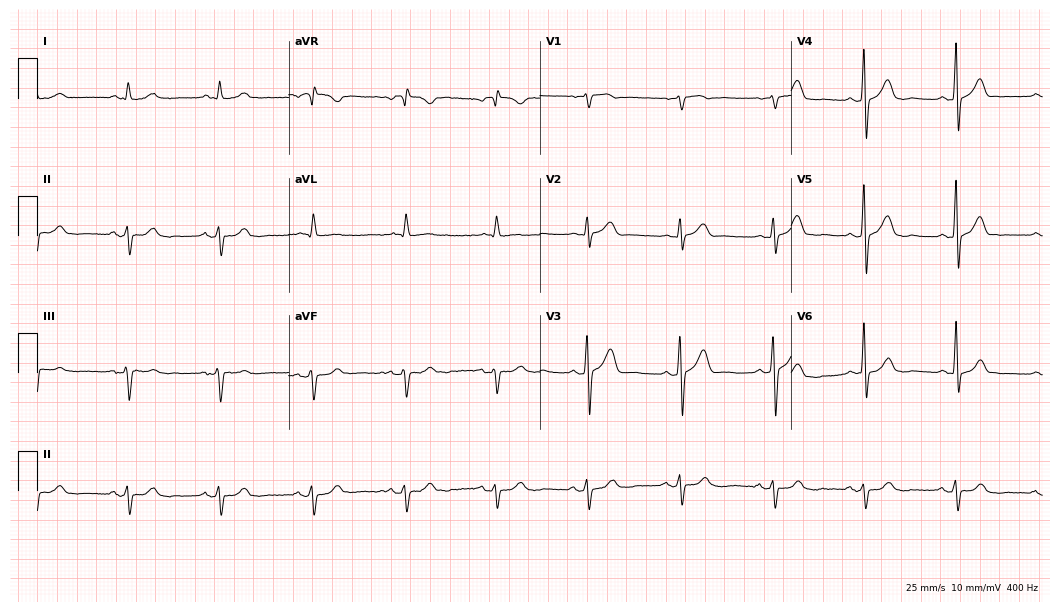
Standard 12-lead ECG recorded from a man, 69 years old (10.2-second recording at 400 Hz). None of these six findings is recorded: first-degree AV block, right bundle branch block, left bundle branch block, sinus bradycardia, atrial fibrillation, sinus tachycardia. Only these six findings were labelled.